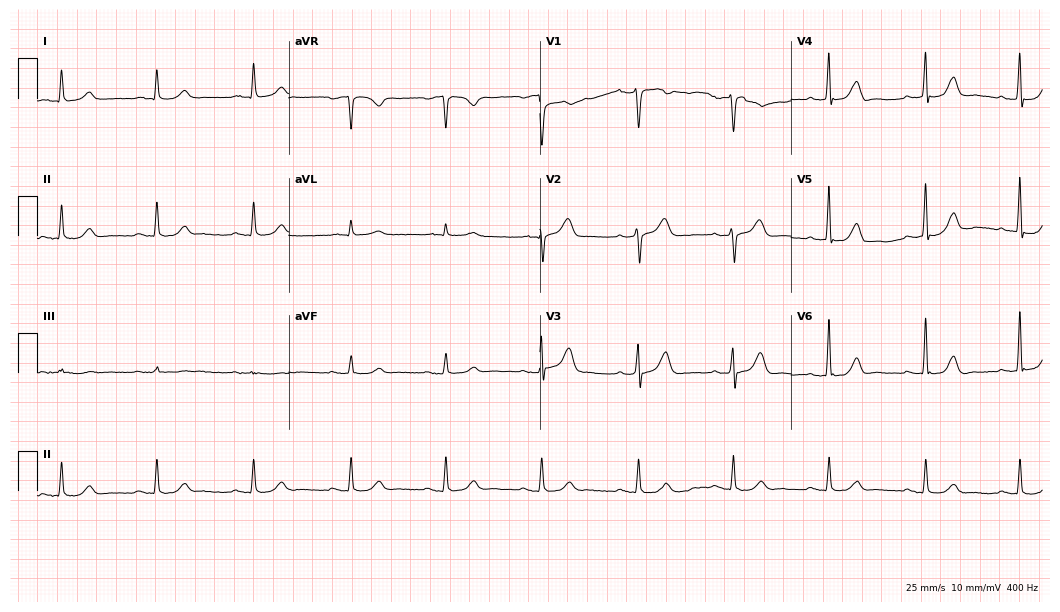
Resting 12-lead electrocardiogram (10.2-second recording at 400 Hz). Patient: a 72-year-old male. None of these six findings is recorded: first-degree AV block, right bundle branch block (RBBB), left bundle branch block (LBBB), sinus bradycardia, atrial fibrillation (AF), sinus tachycardia. Findings outside these six are not listed.